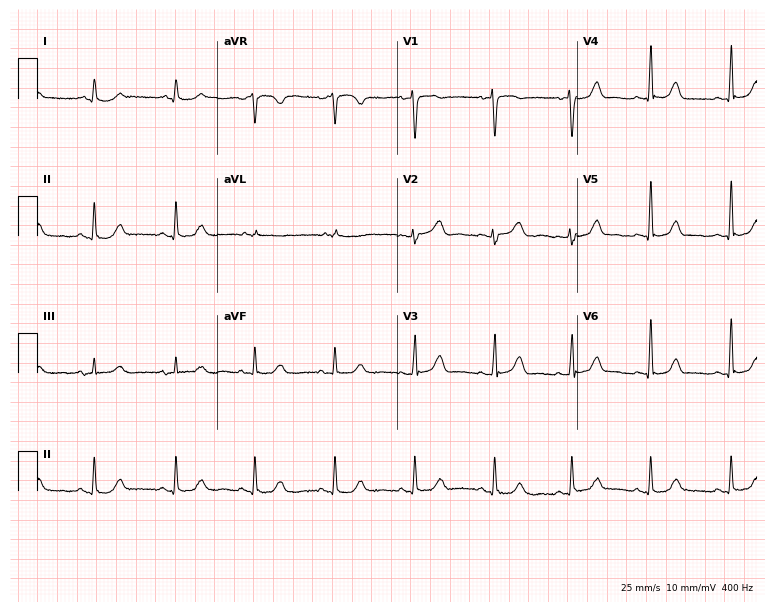
12-lead ECG from a 50-year-old female patient. Screened for six findings — first-degree AV block, right bundle branch block, left bundle branch block, sinus bradycardia, atrial fibrillation, sinus tachycardia — none is recorded. Only these six findings were labelled.